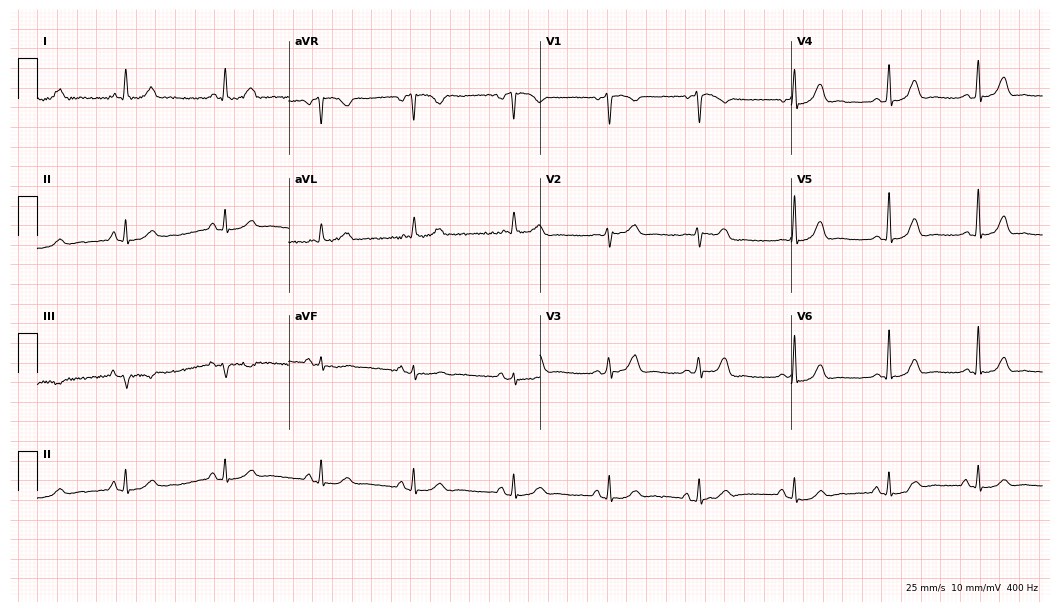
Electrocardiogram (10.2-second recording at 400 Hz), a female patient, 40 years old. Of the six screened findings (first-degree AV block, right bundle branch block (RBBB), left bundle branch block (LBBB), sinus bradycardia, atrial fibrillation (AF), sinus tachycardia), none is recorded.